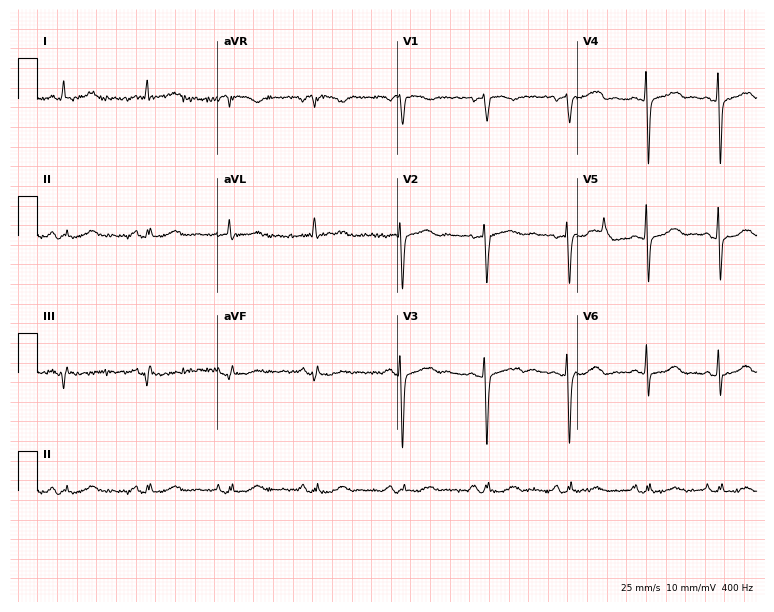
12-lead ECG from a man, 73 years old (7.3-second recording at 400 Hz). No first-degree AV block, right bundle branch block (RBBB), left bundle branch block (LBBB), sinus bradycardia, atrial fibrillation (AF) or sinus tachycardia recorded for this tracing.